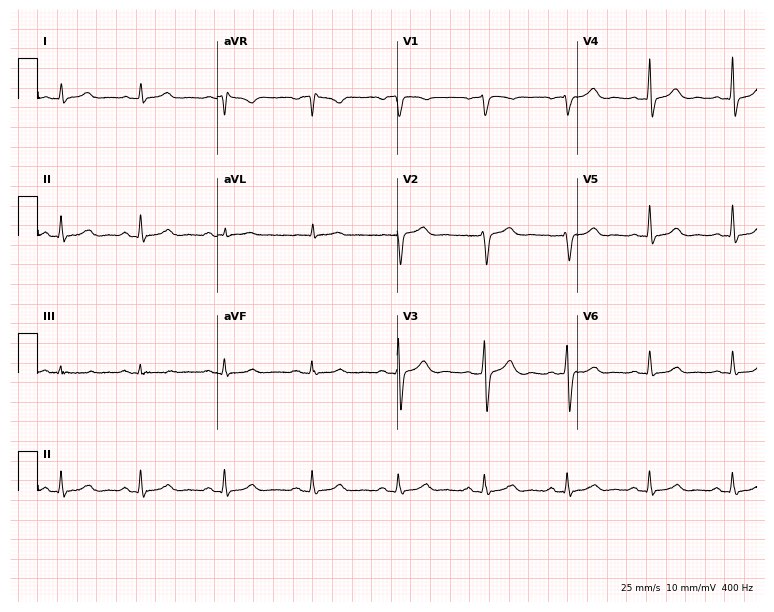
Standard 12-lead ECG recorded from a 48-year-old female (7.3-second recording at 400 Hz). None of these six findings is recorded: first-degree AV block, right bundle branch block (RBBB), left bundle branch block (LBBB), sinus bradycardia, atrial fibrillation (AF), sinus tachycardia. Other findings, if any, are not listed.